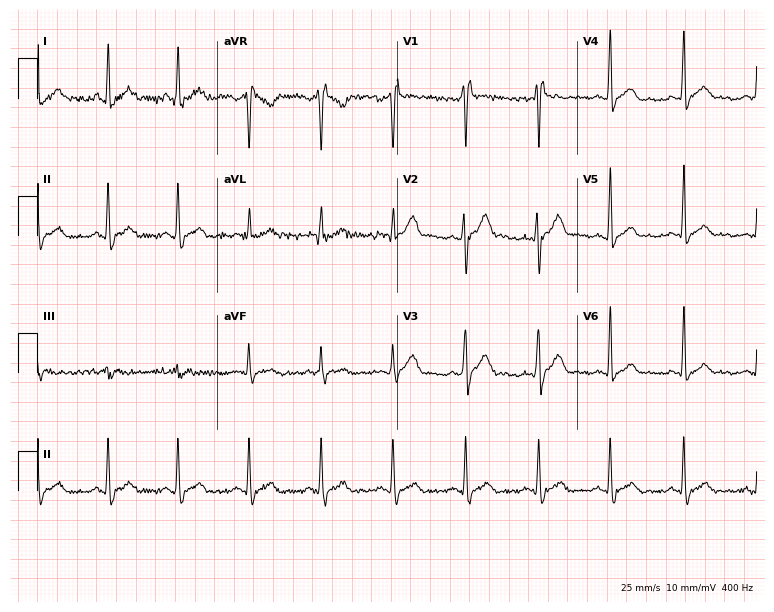
Electrocardiogram (7.3-second recording at 400 Hz), a 28-year-old male patient. Interpretation includes right bundle branch block.